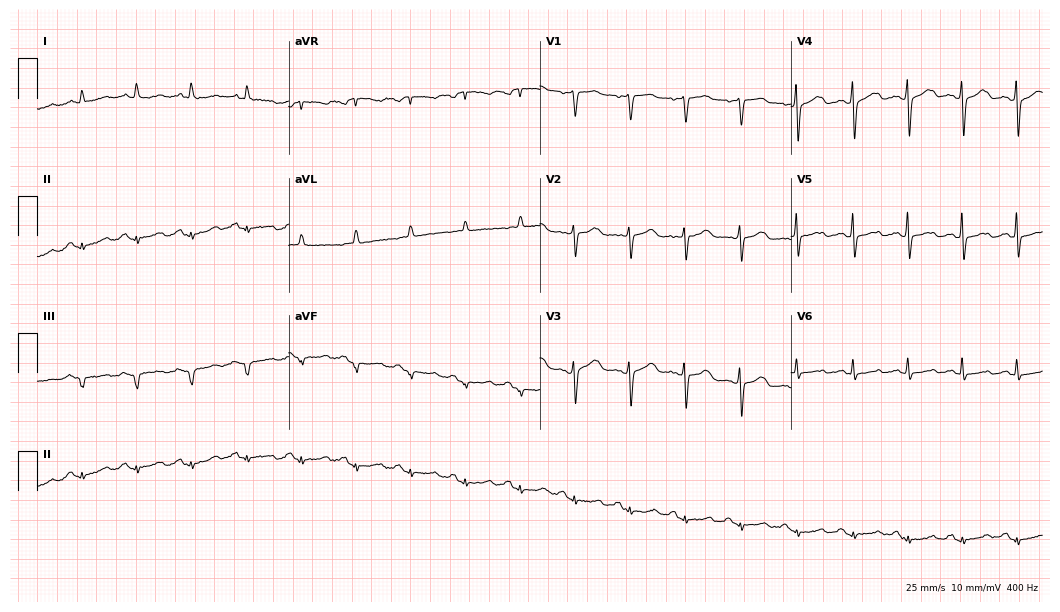
12-lead ECG from a female patient, 73 years old. Screened for six findings — first-degree AV block, right bundle branch block, left bundle branch block, sinus bradycardia, atrial fibrillation, sinus tachycardia — none is recorded. Findings outside these six are not listed.